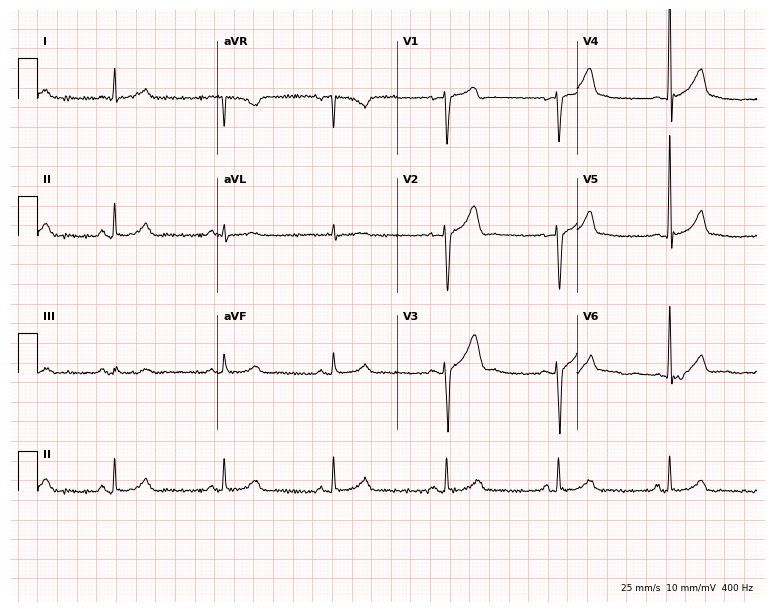
ECG — a man, 41 years old. Screened for six findings — first-degree AV block, right bundle branch block, left bundle branch block, sinus bradycardia, atrial fibrillation, sinus tachycardia — none is recorded. Only these six findings were labelled.